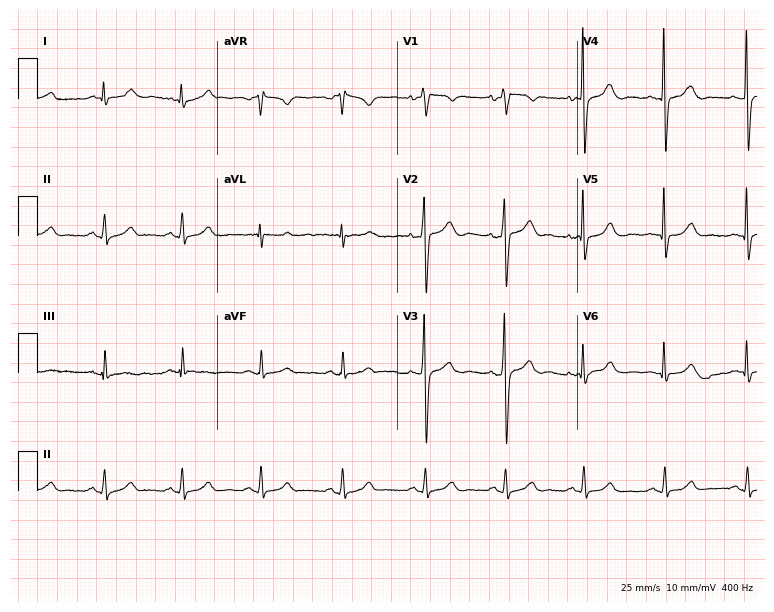
Electrocardiogram, a 33-year-old man. Overall reading on record: normal ECG.